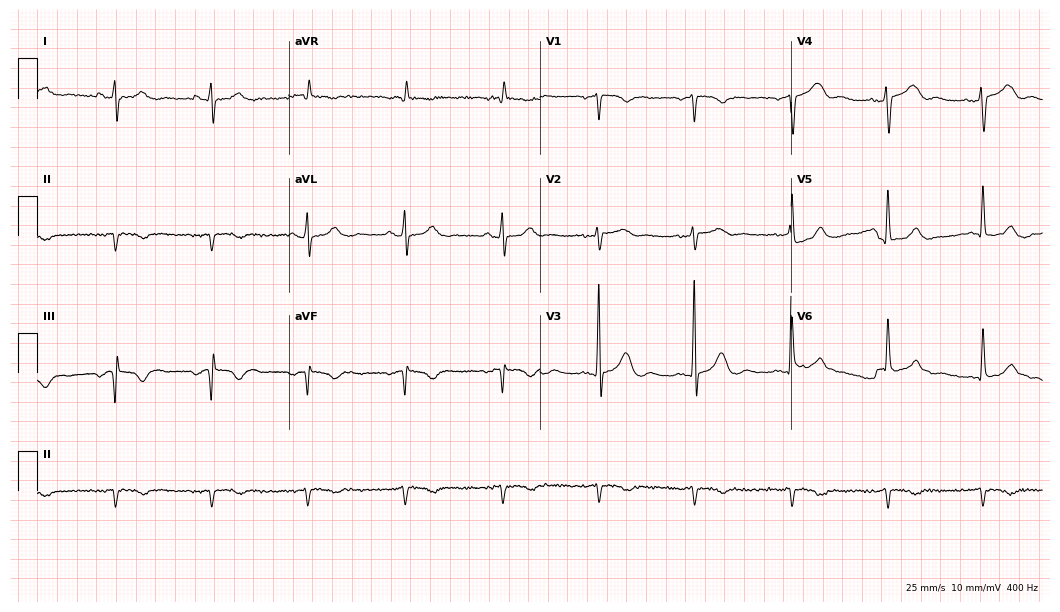
ECG (10.2-second recording at 400 Hz) — an 82-year-old female patient. Screened for six findings — first-degree AV block, right bundle branch block (RBBB), left bundle branch block (LBBB), sinus bradycardia, atrial fibrillation (AF), sinus tachycardia — none is recorded.